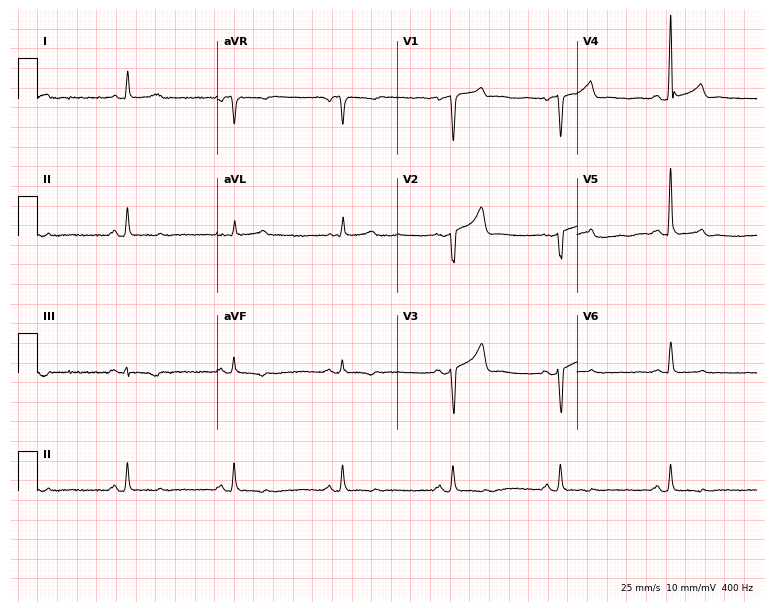
Electrocardiogram (7.3-second recording at 400 Hz), a 57-year-old man. Of the six screened findings (first-degree AV block, right bundle branch block, left bundle branch block, sinus bradycardia, atrial fibrillation, sinus tachycardia), none is recorded.